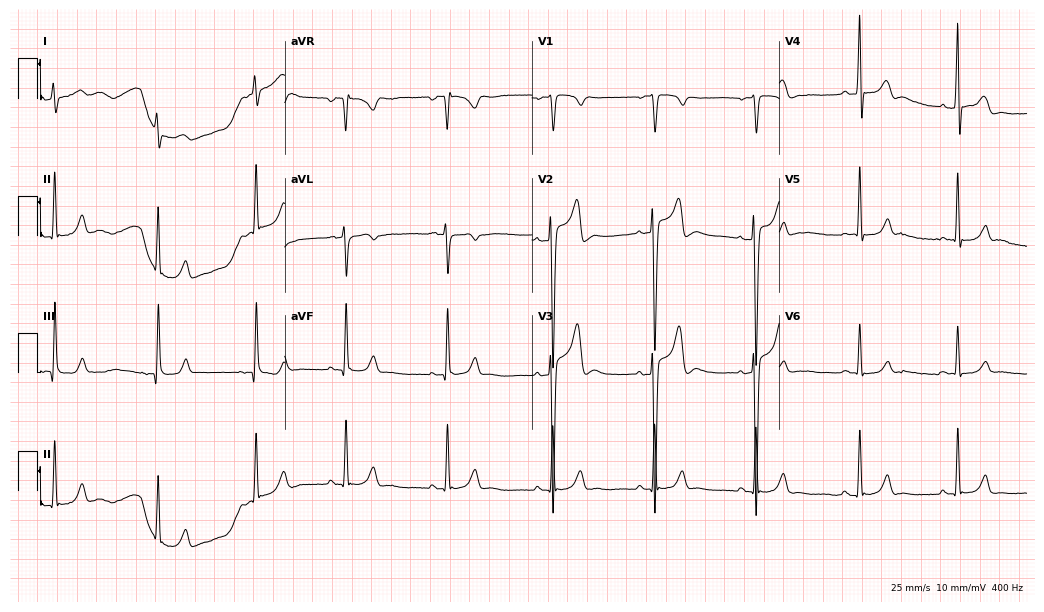
Electrocardiogram (10.1-second recording at 400 Hz), a male, 23 years old. Overall reading on record: normal ECG.